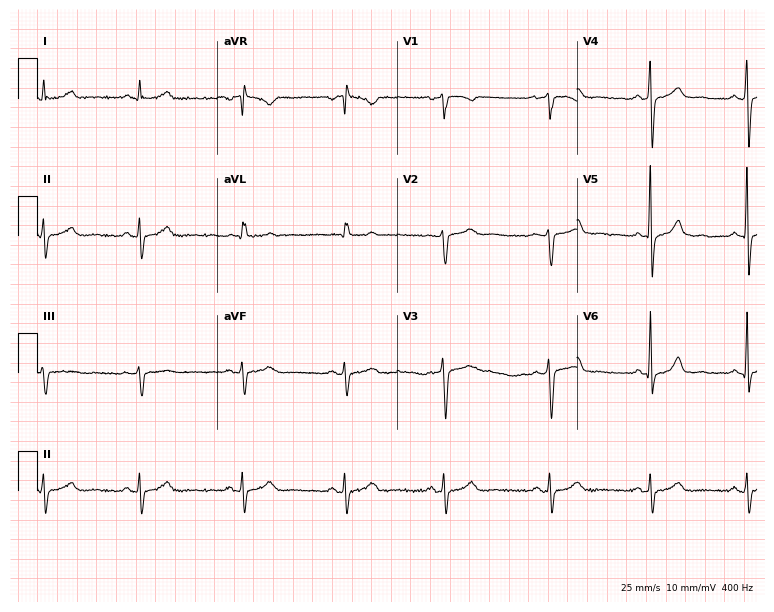
Electrocardiogram (7.3-second recording at 400 Hz), a 29-year-old female. Of the six screened findings (first-degree AV block, right bundle branch block (RBBB), left bundle branch block (LBBB), sinus bradycardia, atrial fibrillation (AF), sinus tachycardia), none is recorded.